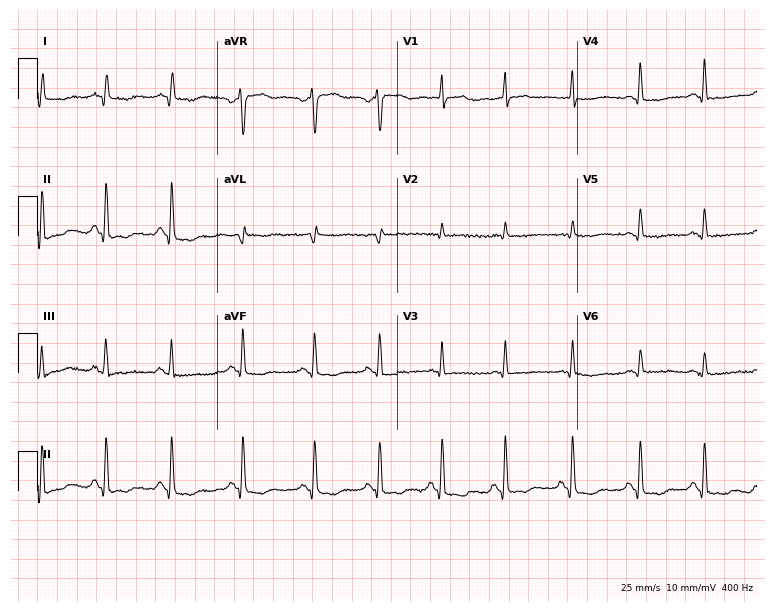
12-lead ECG from a 33-year-old female. No first-degree AV block, right bundle branch block, left bundle branch block, sinus bradycardia, atrial fibrillation or sinus tachycardia recorded for this tracing.